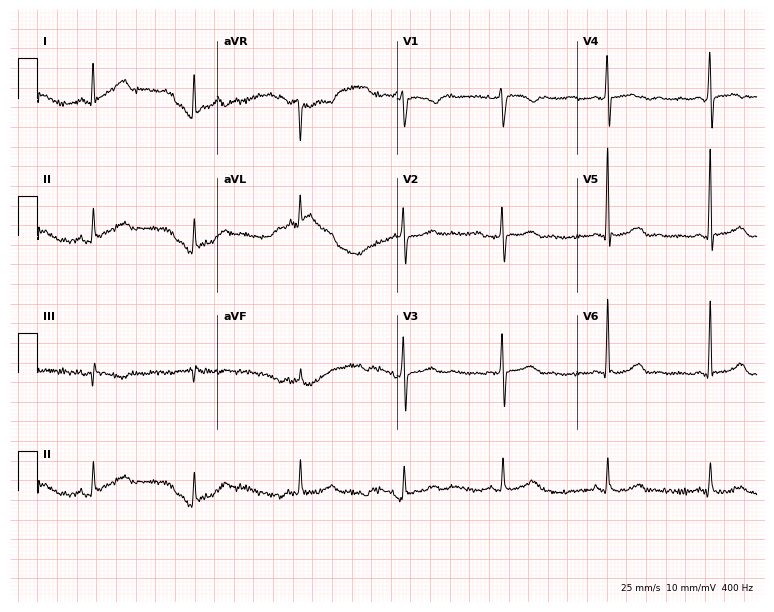
12-lead ECG from a woman, 66 years old (7.3-second recording at 400 Hz). No first-degree AV block, right bundle branch block, left bundle branch block, sinus bradycardia, atrial fibrillation or sinus tachycardia recorded for this tracing.